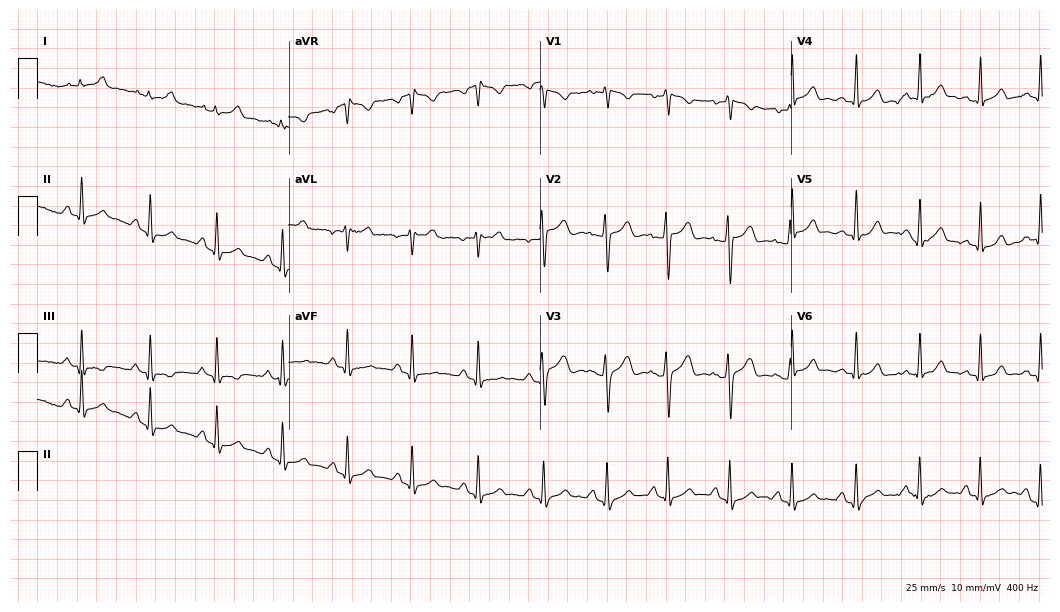
ECG — a 28-year-old female. Screened for six findings — first-degree AV block, right bundle branch block (RBBB), left bundle branch block (LBBB), sinus bradycardia, atrial fibrillation (AF), sinus tachycardia — none is recorded. Only these six findings were labelled.